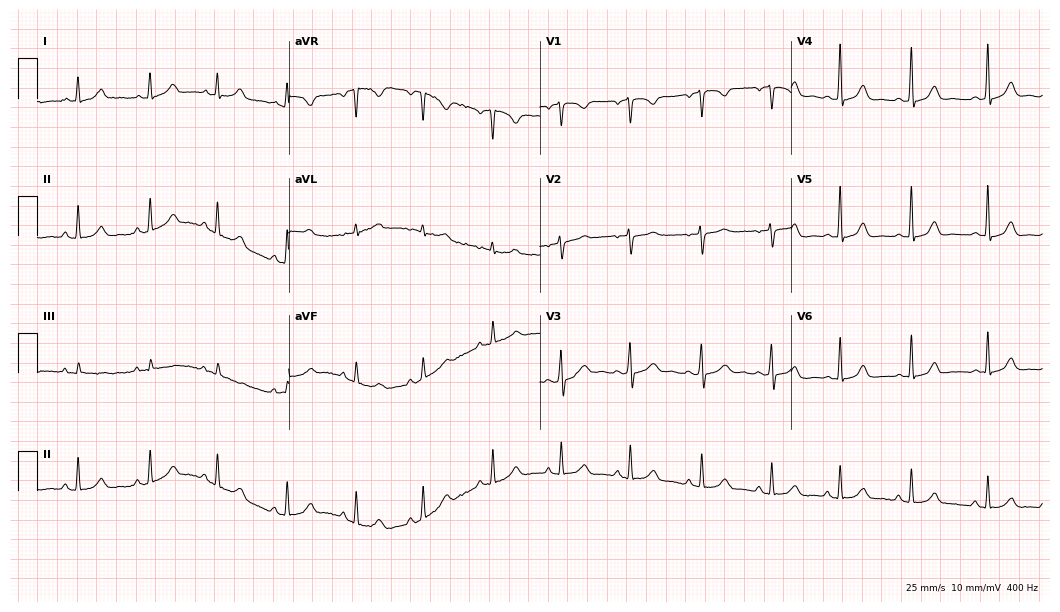
ECG — a female, 32 years old. Labelled as a normal ECG.